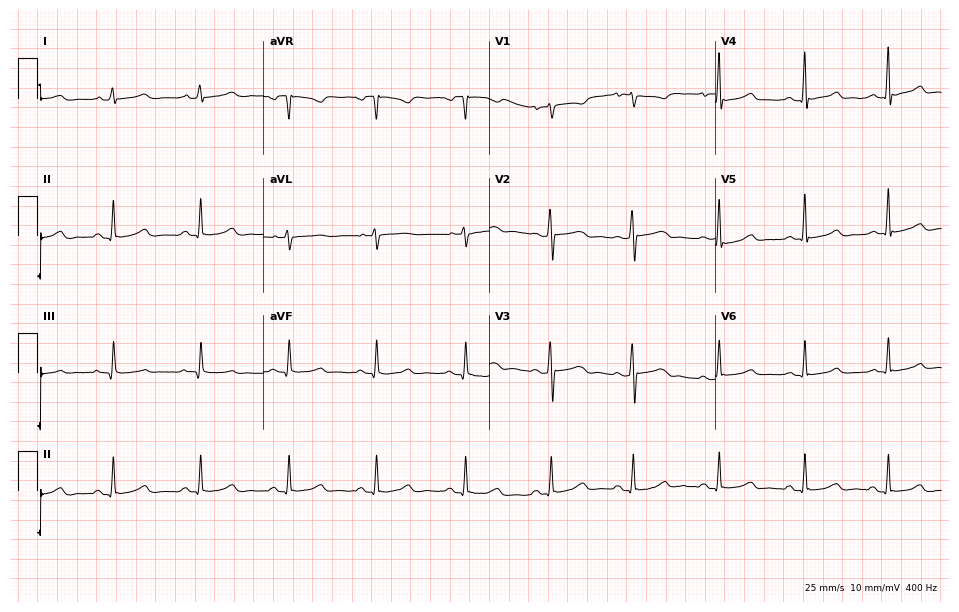
Resting 12-lead electrocardiogram (9.2-second recording at 400 Hz). Patient: a 37-year-old female. Read as a normal ECG.